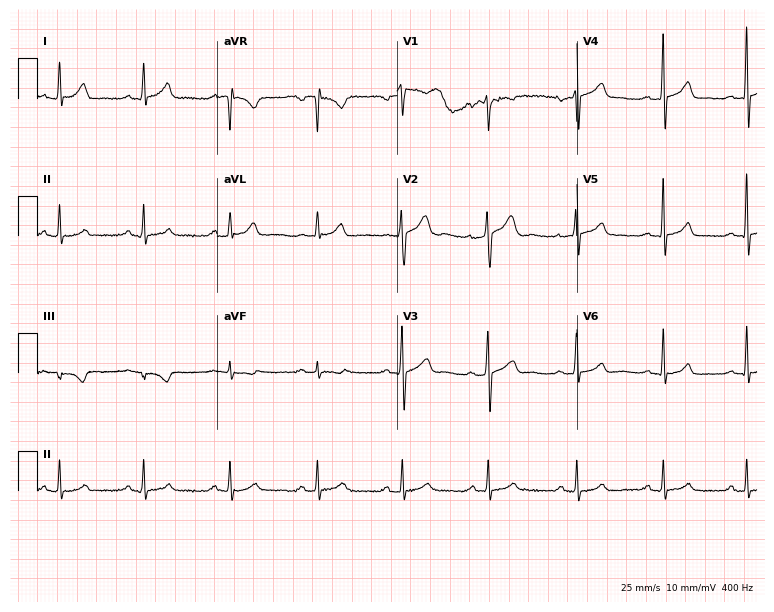
Electrocardiogram (7.3-second recording at 400 Hz), a 51-year-old man. Overall reading on record: normal ECG.